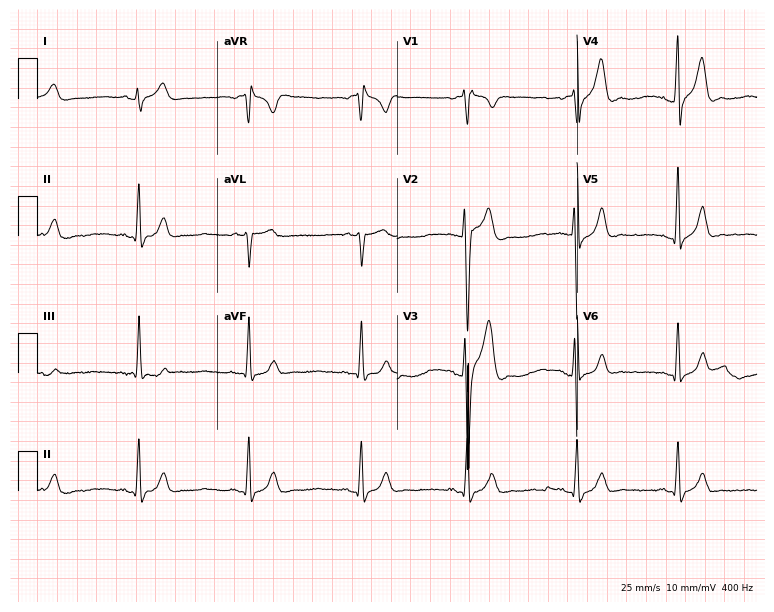
12-lead ECG from a 26-year-old man. No first-degree AV block, right bundle branch block, left bundle branch block, sinus bradycardia, atrial fibrillation or sinus tachycardia recorded for this tracing.